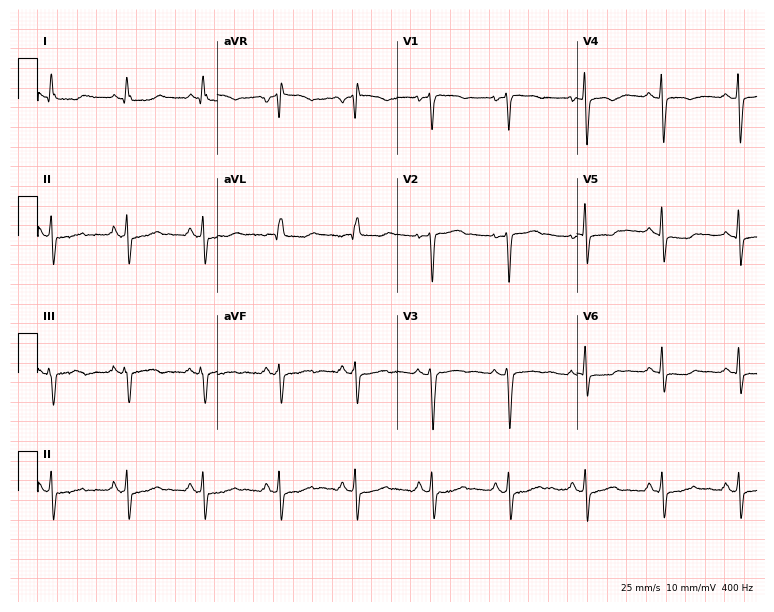
Resting 12-lead electrocardiogram (7.3-second recording at 400 Hz). Patient: a 63-year-old female. None of these six findings is recorded: first-degree AV block, right bundle branch block, left bundle branch block, sinus bradycardia, atrial fibrillation, sinus tachycardia.